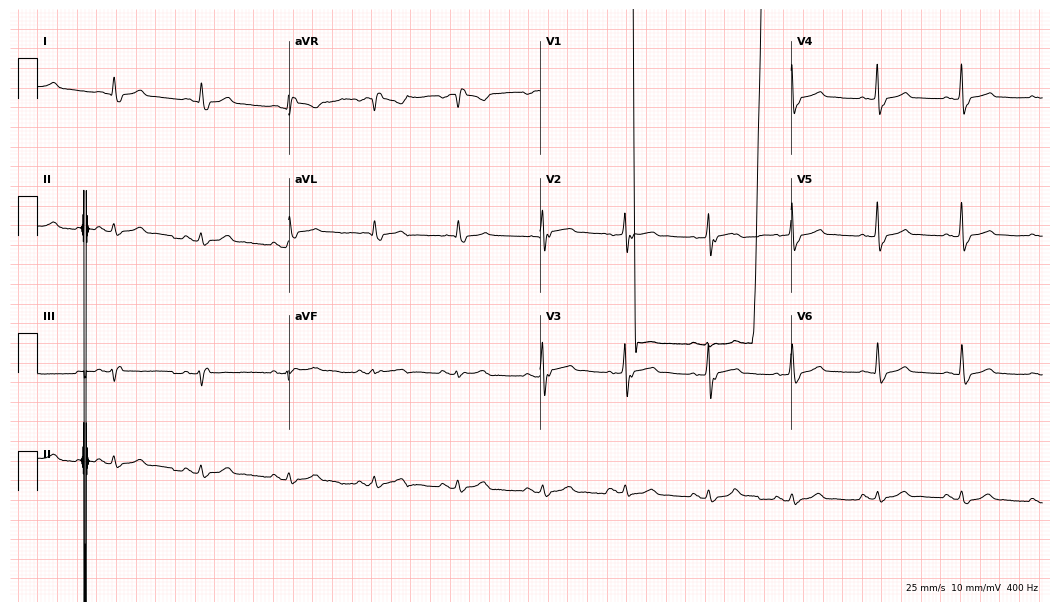
Resting 12-lead electrocardiogram (10.2-second recording at 400 Hz). Patient: a 65-year-old male. None of these six findings is recorded: first-degree AV block, right bundle branch block (RBBB), left bundle branch block (LBBB), sinus bradycardia, atrial fibrillation (AF), sinus tachycardia.